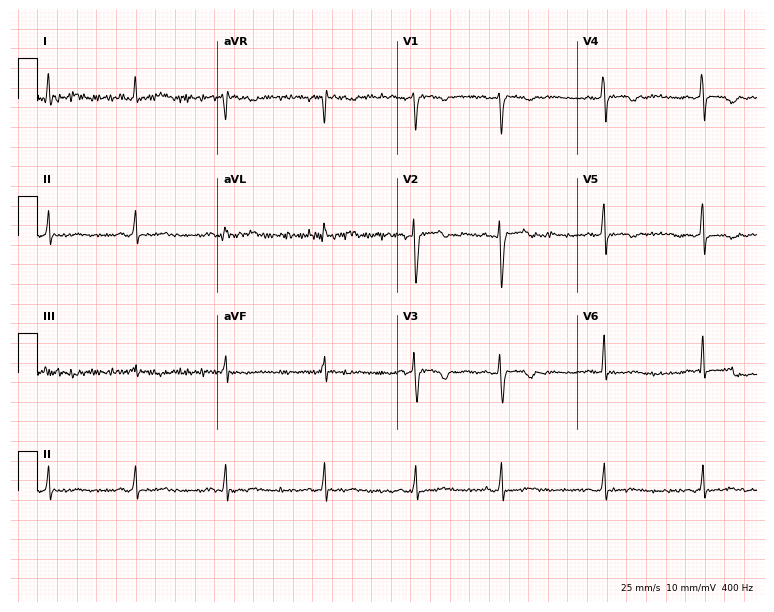
Electrocardiogram, a female patient, 31 years old. Of the six screened findings (first-degree AV block, right bundle branch block (RBBB), left bundle branch block (LBBB), sinus bradycardia, atrial fibrillation (AF), sinus tachycardia), none is recorded. Findings outside these six are not listed.